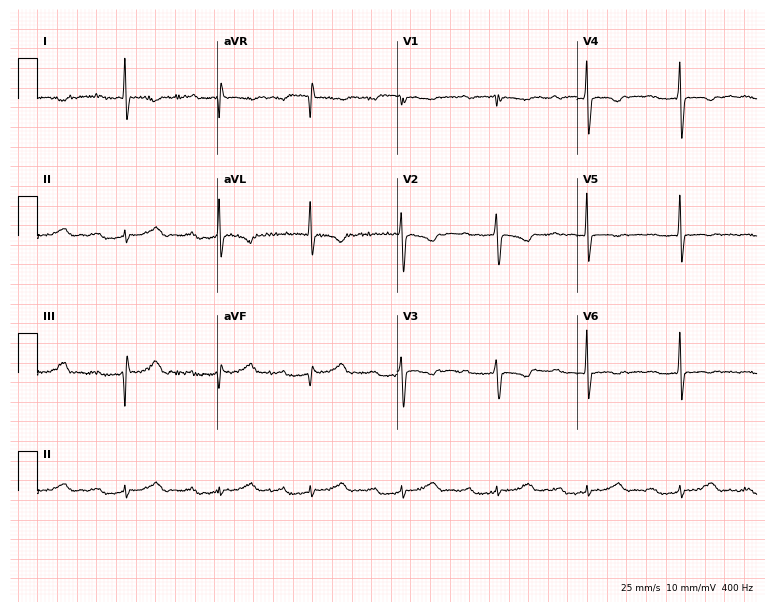
Electrocardiogram (7.3-second recording at 400 Hz), a 76-year-old female patient. Of the six screened findings (first-degree AV block, right bundle branch block (RBBB), left bundle branch block (LBBB), sinus bradycardia, atrial fibrillation (AF), sinus tachycardia), none is recorded. Only these six findings were labelled.